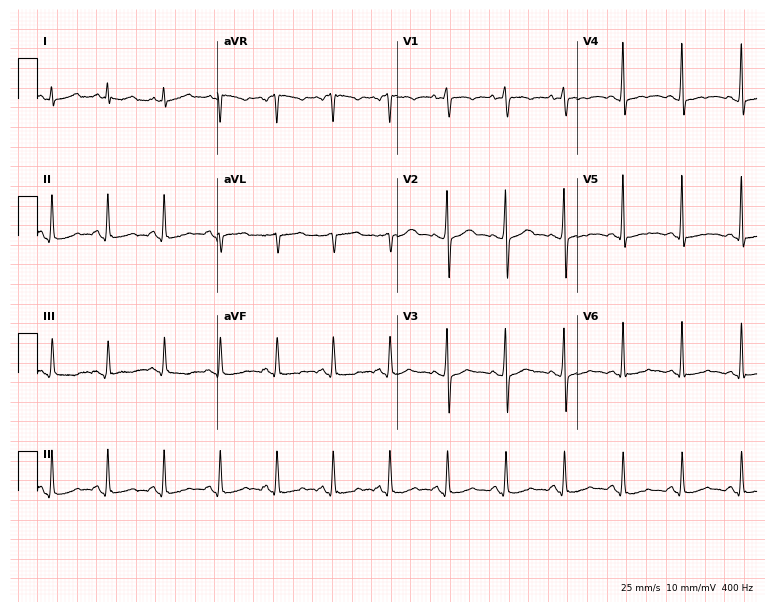
12-lead ECG (7.3-second recording at 400 Hz) from a 46-year-old female. Findings include sinus tachycardia (a sinus rate of 100 beats per minute or more).